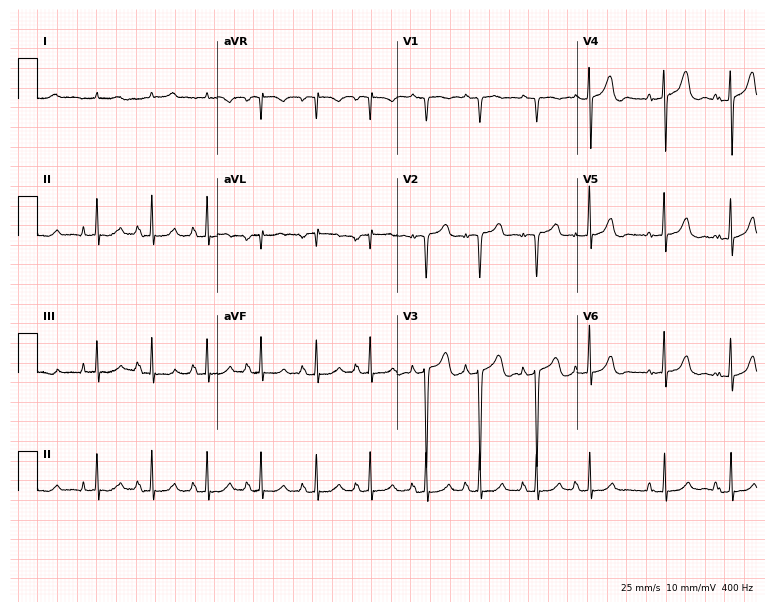
12-lead ECG from a woman, 79 years old (7.3-second recording at 400 Hz). No first-degree AV block, right bundle branch block (RBBB), left bundle branch block (LBBB), sinus bradycardia, atrial fibrillation (AF) or sinus tachycardia recorded for this tracing.